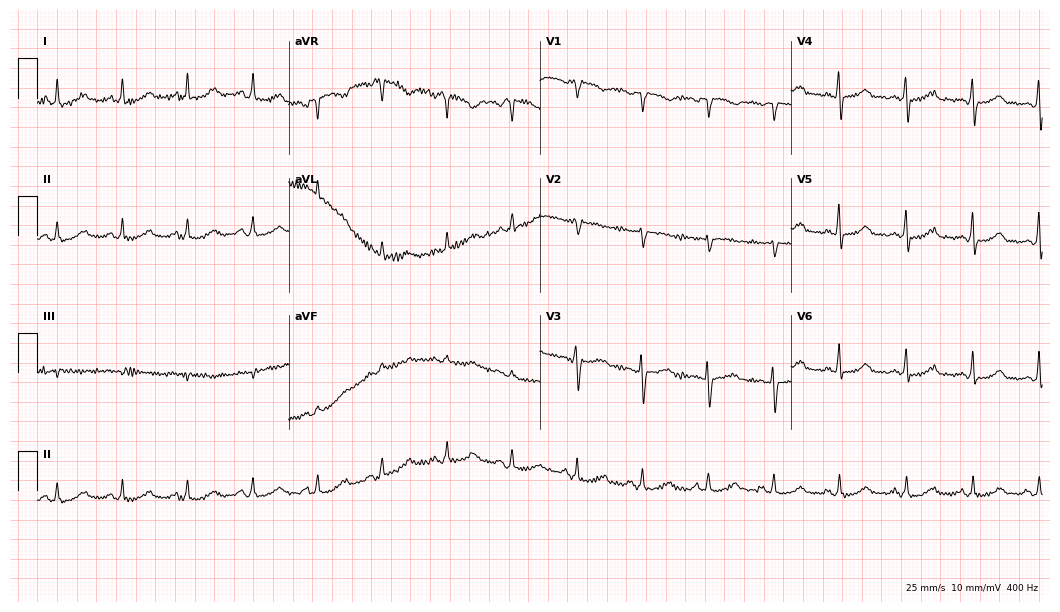
Electrocardiogram, a female patient, 46 years old. Of the six screened findings (first-degree AV block, right bundle branch block, left bundle branch block, sinus bradycardia, atrial fibrillation, sinus tachycardia), none is recorded.